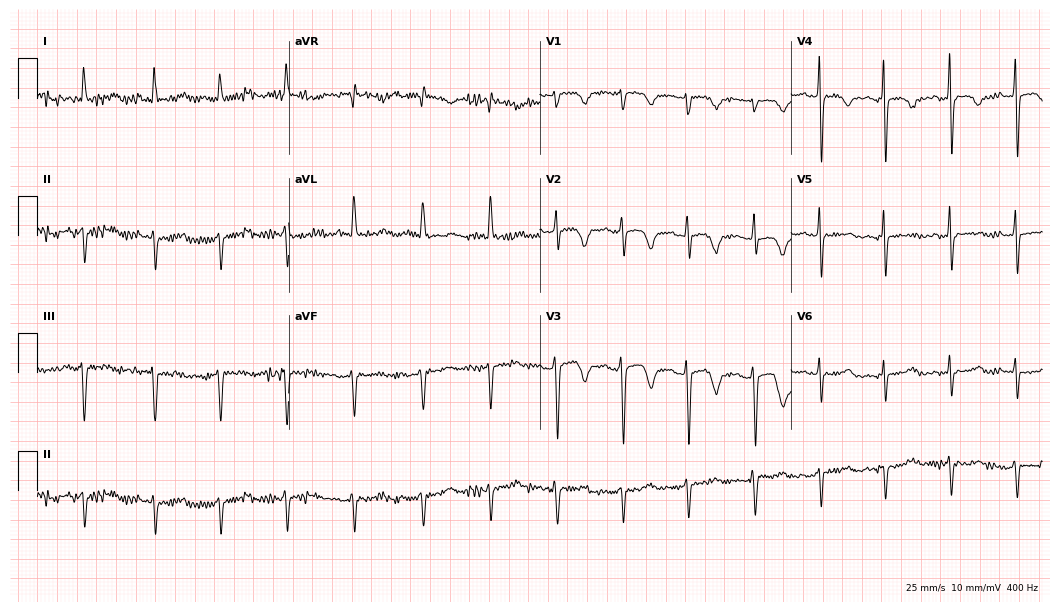
Resting 12-lead electrocardiogram (10.2-second recording at 400 Hz). Patient: a female, 79 years old. None of these six findings is recorded: first-degree AV block, right bundle branch block, left bundle branch block, sinus bradycardia, atrial fibrillation, sinus tachycardia. Other findings, if any, are not listed.